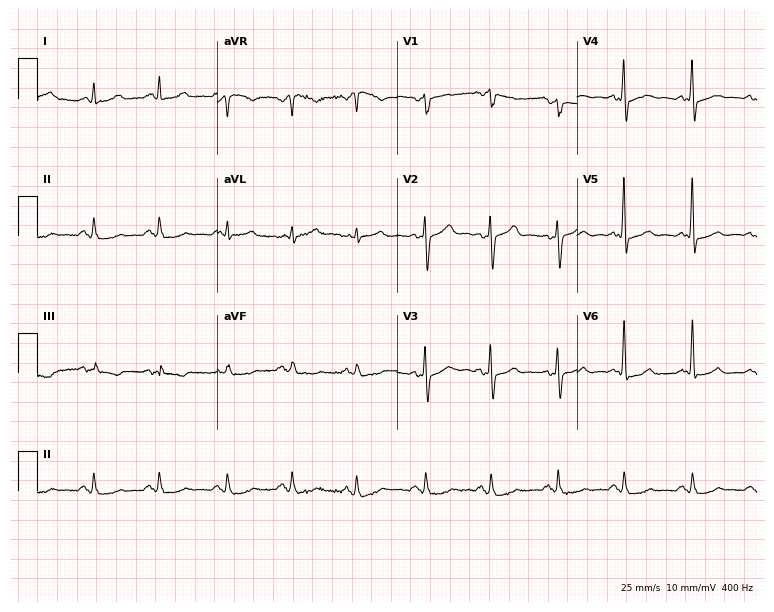
12-lead ECG from a 77-year-old male. Recorded interpretation: within normal limits.